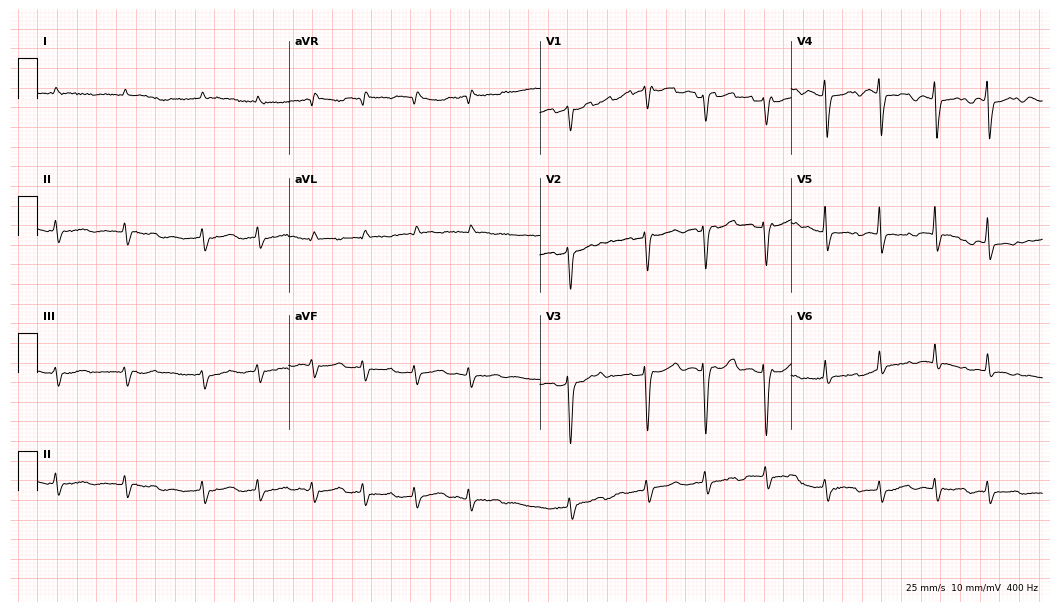
ECG (10.2-second recording at 400 Hz) — a woman, 85 years old. Screened for six findings — first-degree AV block, right bundle branch block, left bundle branch block, sinus bradycardia, atrial fibrillation, sinus tachycardia — none is recorded.